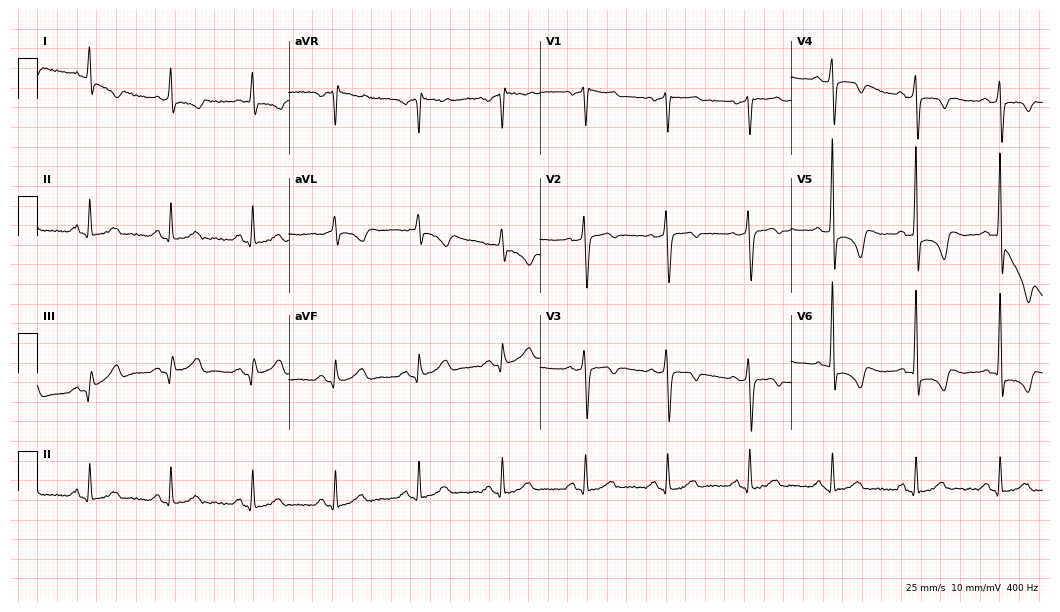
Standard 12-lead ECG recorded from a male patient, 77 years old (10.2-second recording at 400 Hz). None of these six findings is recorded: first-degree AV block, right bundle branch block, left bundle branch block, sinus bradycardia, atrial fibrillation, sinus tachycardia. Other findings, if any, are not listed.